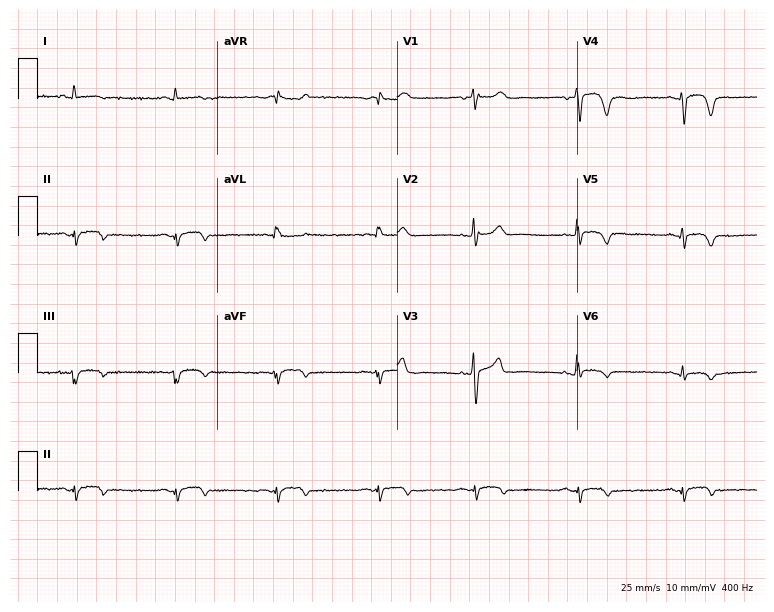
12-lead ECG from a female patient, 51 years old. No first-degree AV block, right bundle branch block (RBBB), left bundle branch block (LBBB), sinus bradycardia, atrial fibrillation (AF) or sinus tachycardia recorded for this tracing. Findings outside these six are not listed.